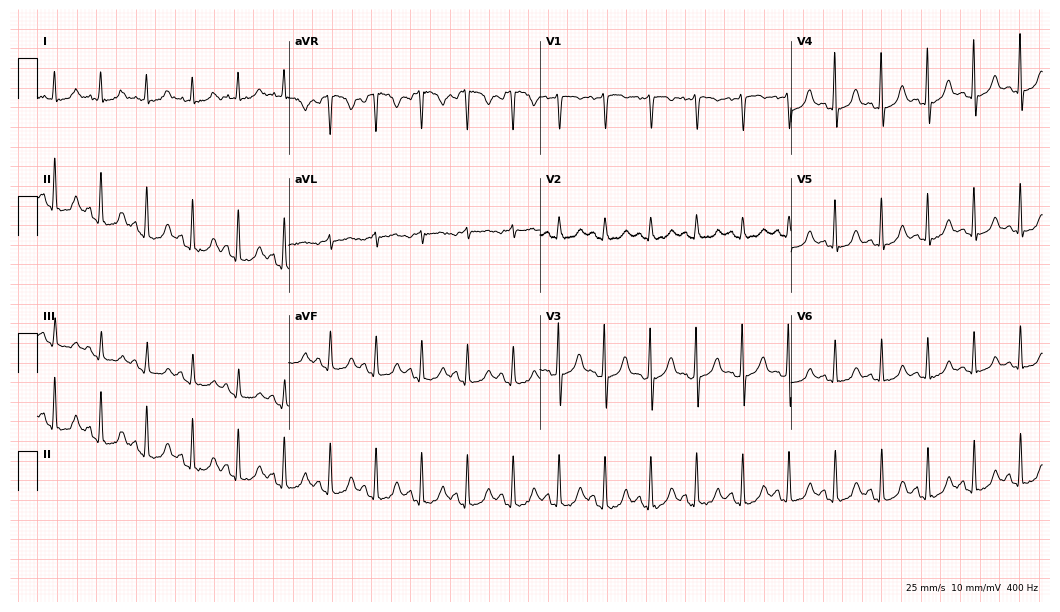
12-lead ECG from a woman, 51 years old (10.2-second recording at 400 Hz). Shows sinus tachycardia (a sinus rate of 100 beats per minute or more).